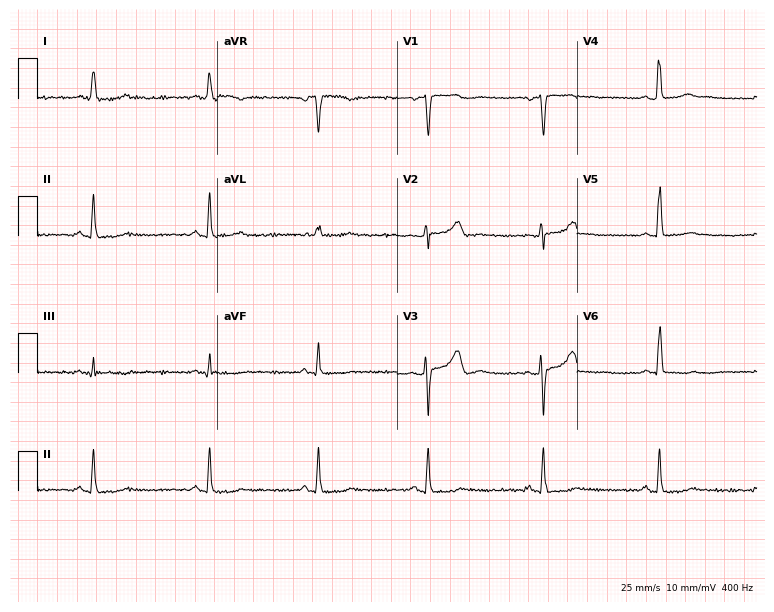
Standard 12-lead ECG recorded from a 37-year-old woman (7.3-second recording at 400 Hz). None of these six findings is recorded: first-degree AV block, right bundle branch block, left bundle branch block, sinus bradycardia, atrial fibrillation, sinus tachycardia. Findings outside these six are not listed.